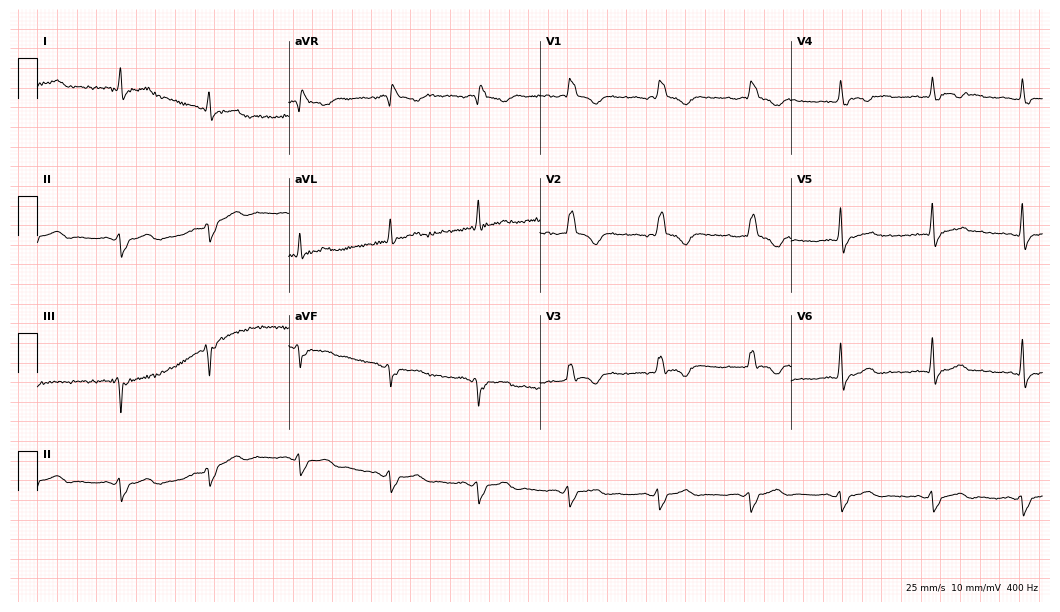
12-lead ECG from a 40-year-old female. Screened for six findings — first-degree AV block, right bundle branch block, left bundle branch block, sinus bradycardia, atrial fibrillation, sinus tachycardia — none is recorded.